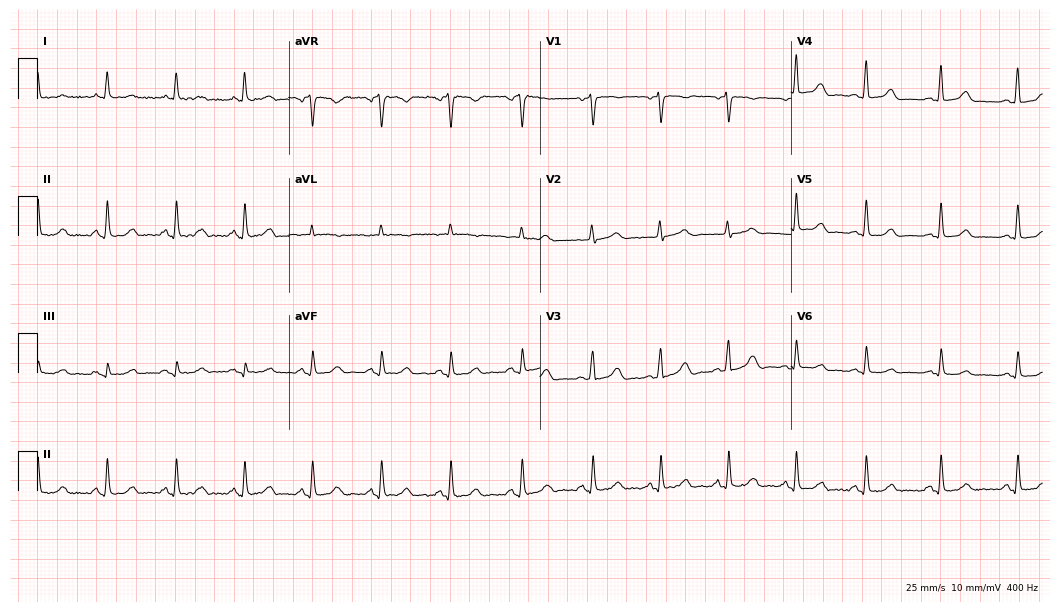
ECG (10.2-second recording at 400 Hz) — a woman, 51 years old. Screened for six findings — first-degree AV block, right bundle branch block, left bundle branch block, sinus bradycardia, atrial fibrillation, sinus tachycardia — none is recorded.